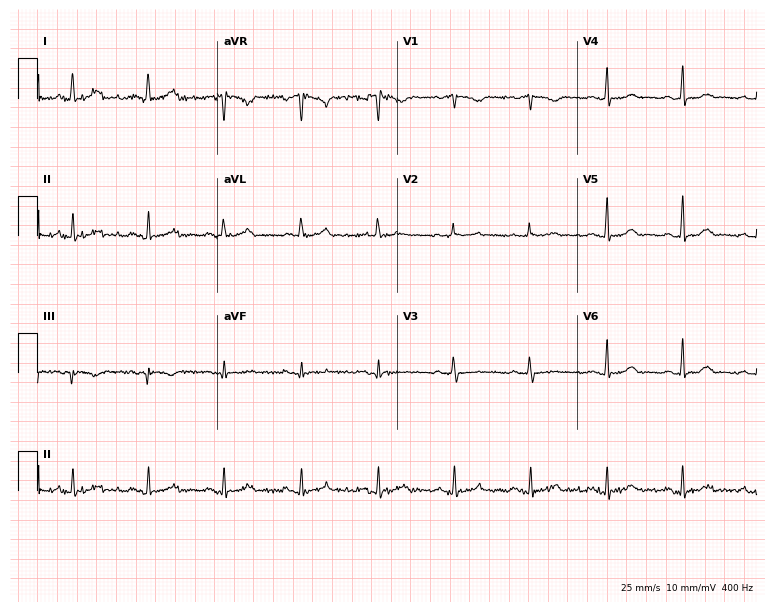
ECG — a woman, 52 years old. Screened for six findings — first-degree AV block, right bundle branch block (RBBB), left bundle branch block (LBBB), sinus bradycardia, atrial fibrillation (AF), sinus tachycardia — none is recorded. Findings outside these six are not listed.